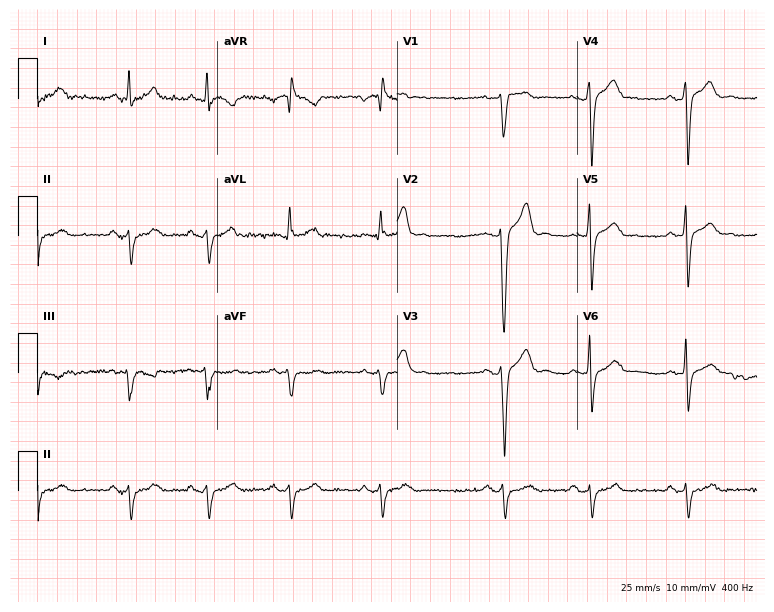
ECG — a 36-year-old male. Screened for six findings — first-degree AV block, right bundle branch block (RBBB), left bundle branch block (LBBB), sinus bradycardia, atrial fibrillation (AF), sinus tachycardia — none is recorded.